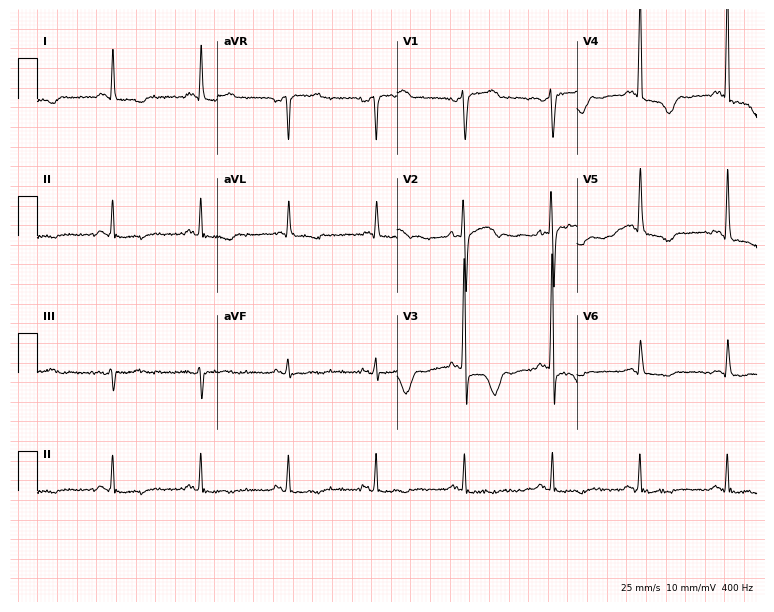
12-lead ECG (7.3-second recording at 400 Hz) from a 73-year-old man. Screened for six findings — first-degree AV block, right bundle branch block, left bundle branch block, sinus bradycardia, atrial fibrillation, sinus tachycardia — none is recorded. Other findings, if any, are not listed.